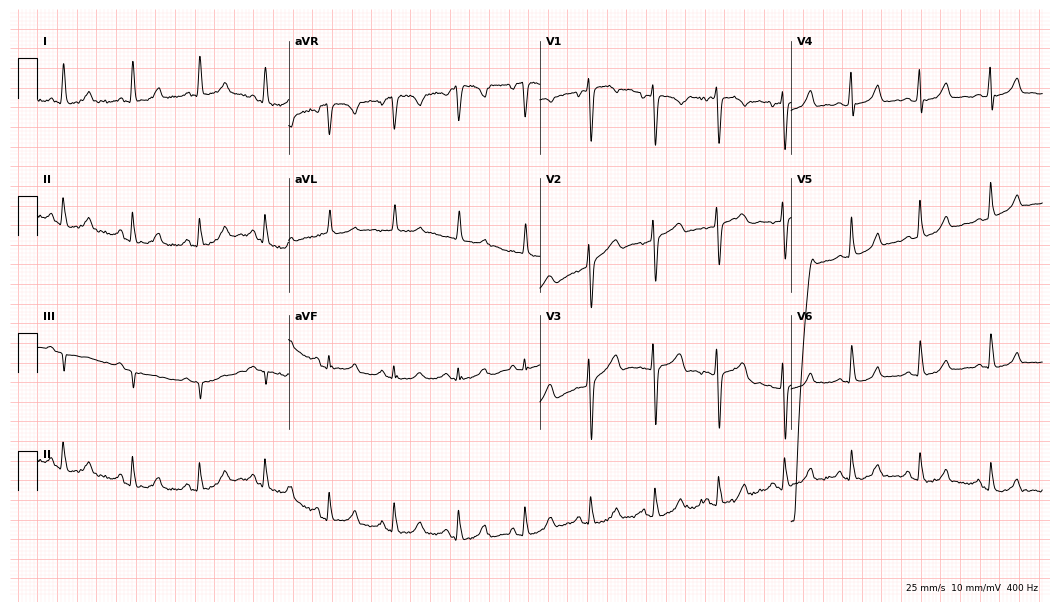
12-lead ECG from a female patient, 52 years old. No first-degree AV block, right bundle branch block, left bundle branch block, sinus bradycardia, atrial fibrillation or sinus tachycardia recorded for this tracing.